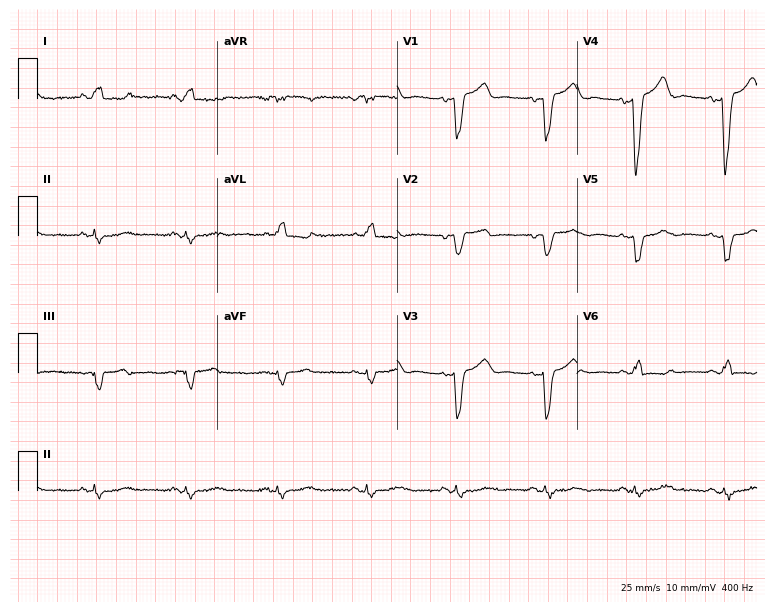
ECG — a 58-year-old female patient. Findings include left bundle branch block.